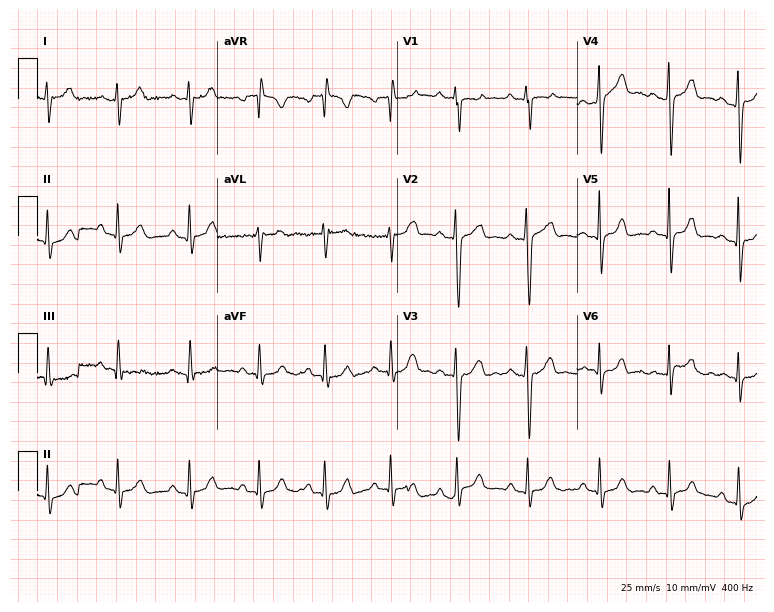
Resting 12-lead electrocardiogram. Patient: a woman, 23 years old. None of these six findings is recorded: first-degree AV block, right bundle branch block (RBBB), left bundle branch block (LBBB), sinus bradycardia, atrial fibrillation (AF), sinus tachycardia. Findings outside these six are not listed.